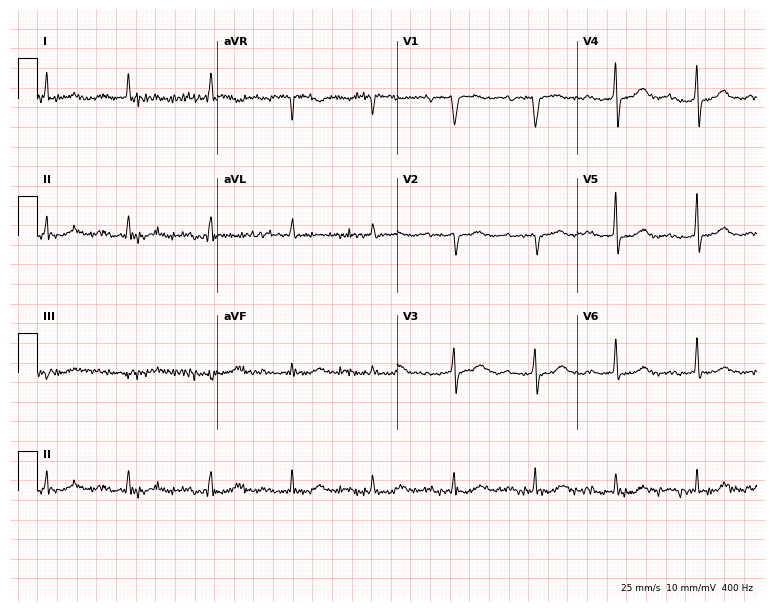
Standard 12-lead ECG recorded from a man, 79 years old. None of these six findings is recorded: first-degree AV block, right bundle branch block, left bundle branch block, sinus bradycardia, atrial fibrillation, sinus tachycardia.